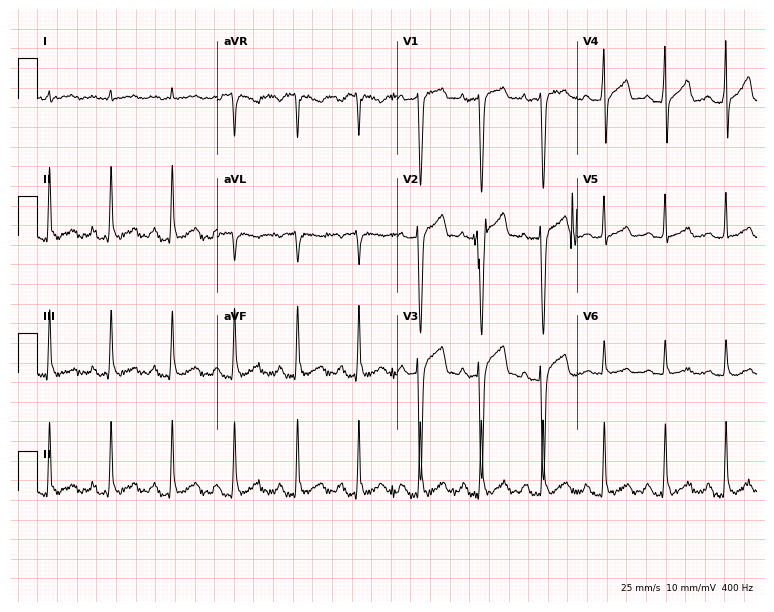
ECG — a 45-year-old male. Screened for six findings — first-degree AV block, right bundle branch block, left bundle branch block, sinus bradycardia, atrial fibrillation, sinus tachycardia — none is recorded.